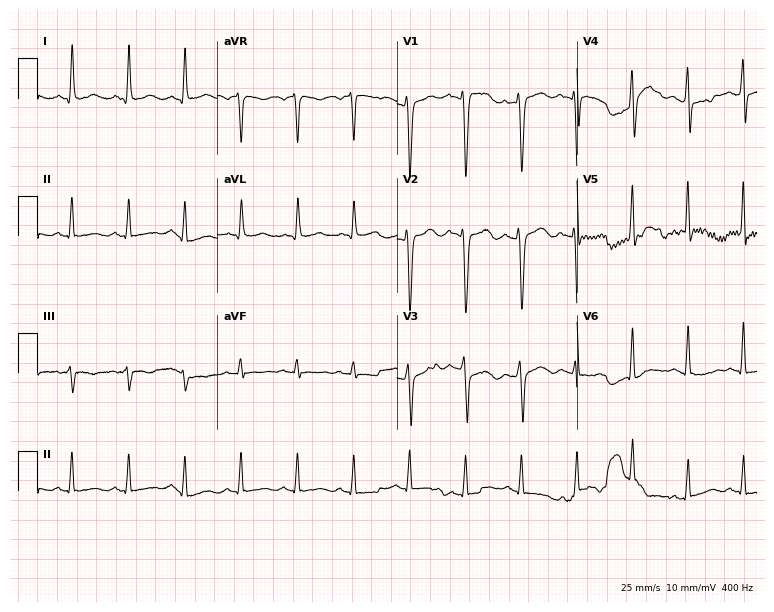
Resting 12-lead electrocardiogram (7.3-second recording at 400 Hz). Patient: a 35-year-old man. The tracing shows sinus tachycardia (a sinus rate of 100 beats per minute or more).